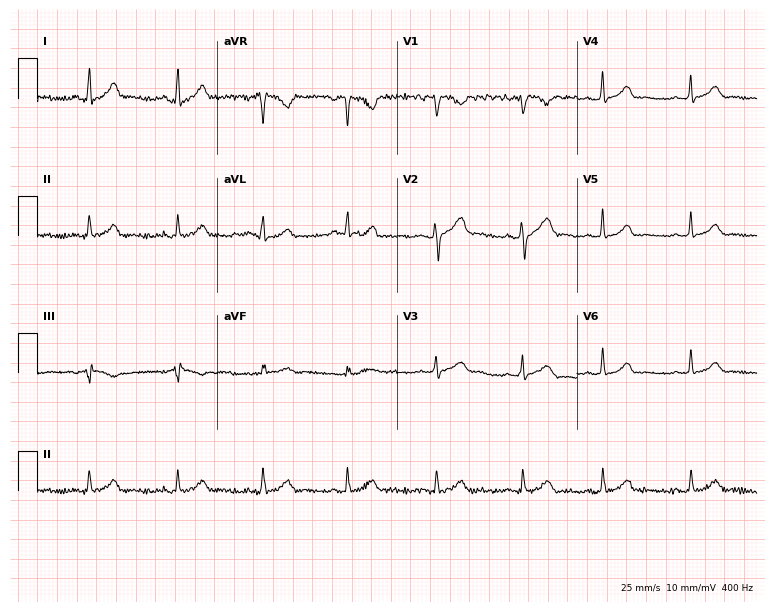
Resting 12-lead electrocardiogram. Patient: a 24-year-old female. None of these six findings is recorded: first-degree AV block, right bundle branch block, left bundle branch block, sinus bradycardia, atrial fibrillation, sinus tachycardia. Other findings, if any, are not listed.